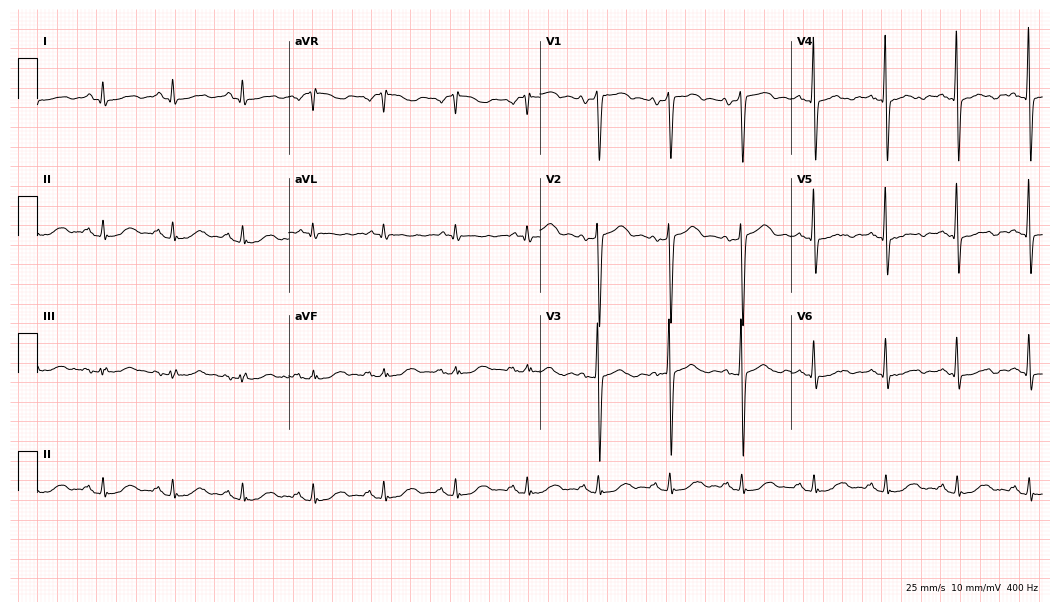
Electrocardiogram, a male, 66 years old. Overall reading on record: normal ECG.